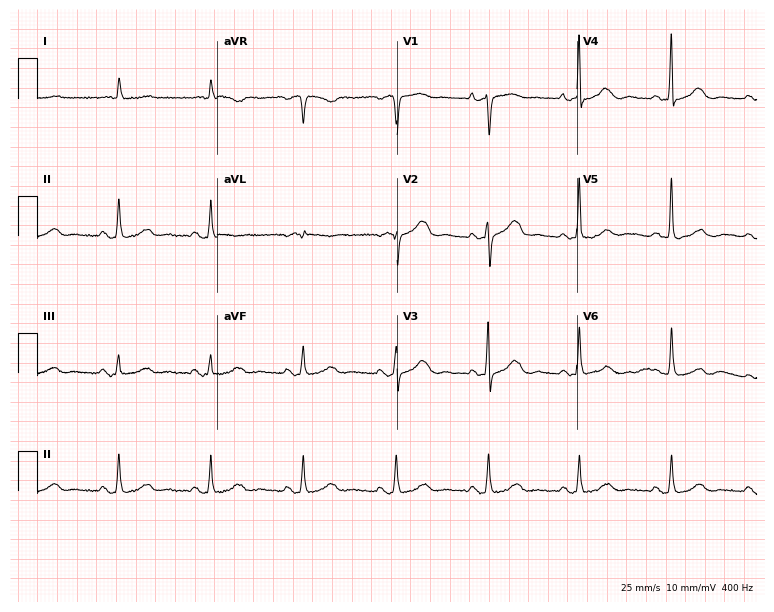
12-lead ECG from a female, 77 years old (7.3-second recording at 400 Hz). Recorded interpretation: within normal limits.